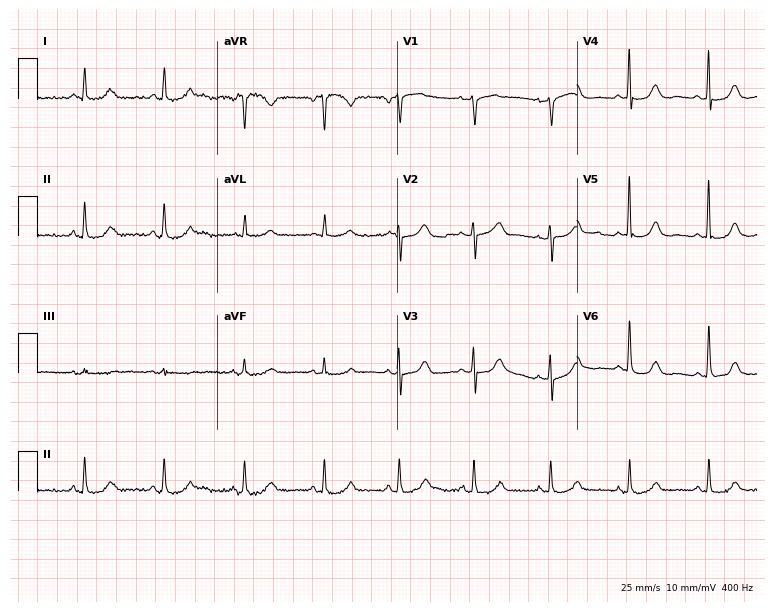
12-lead ECG (7.3-second recording at 400 Hz) from a female, 70 years old. Labelled as a normal ECG.